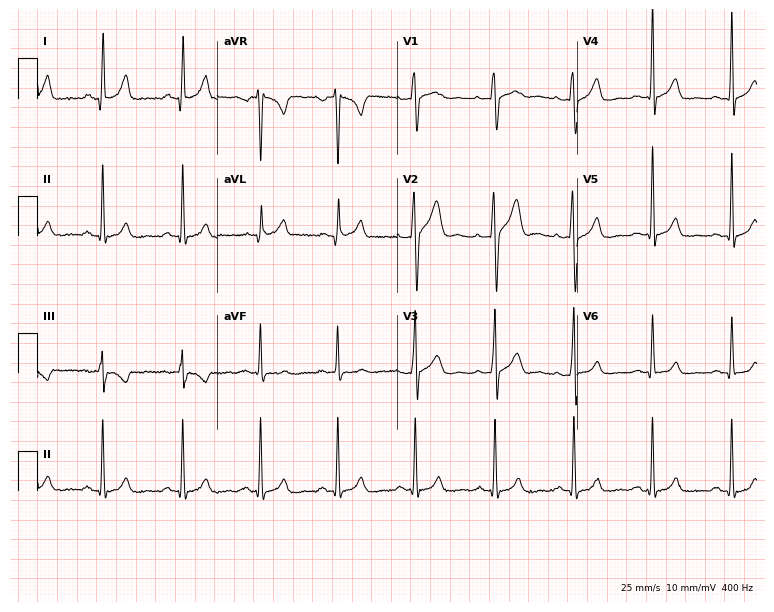
Resting 12-lead electrocardiogram. Patient: a 26-year-old male. None of these six findings is recorded: first-degree AV block, right bundle branch block, left bundle branch block, sinus bradycardia, atrial fibrillation, sinus tachycardia.